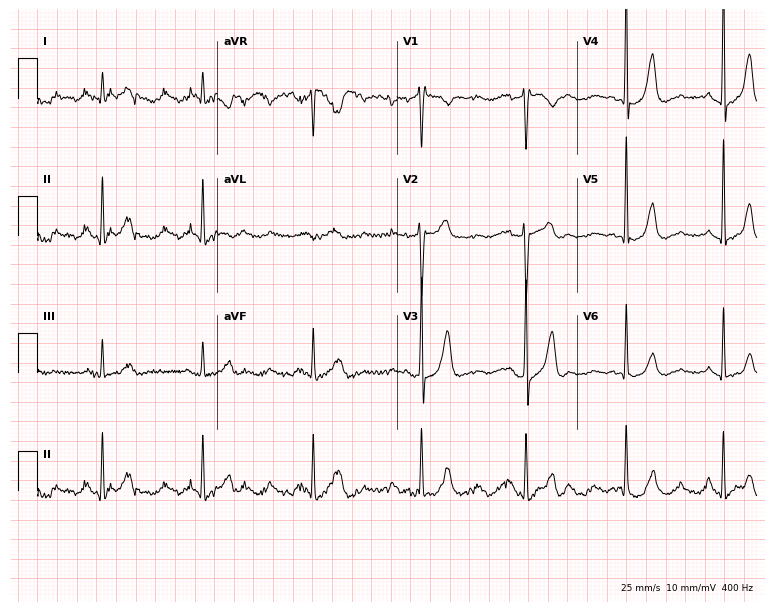
Resting 12-lead electrocardiogram (7.3-second recording at 400 Hz). Patient: a 44-year-old male. Read as a normal ECG.